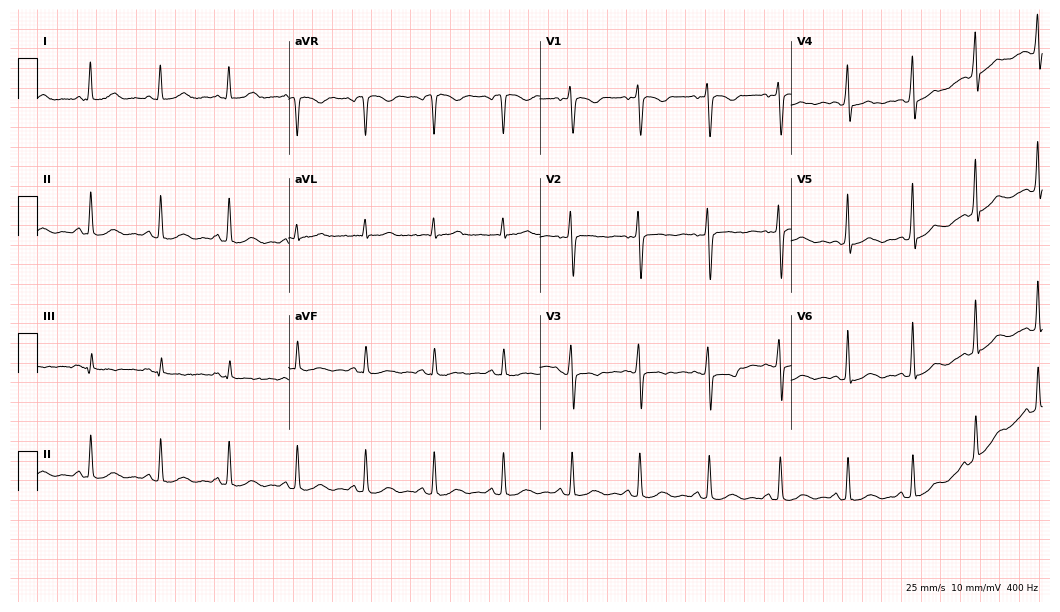
12-lead ECG from a female, 48 years old (10.2-second recording at 400 Hz). No first-degree AV block, right bundle branch block, left bundle branch block, sinus bradycardia, atrial fibrillation or sinus tachycardia recorded for this tracing. Other findings, if any, are not listed.